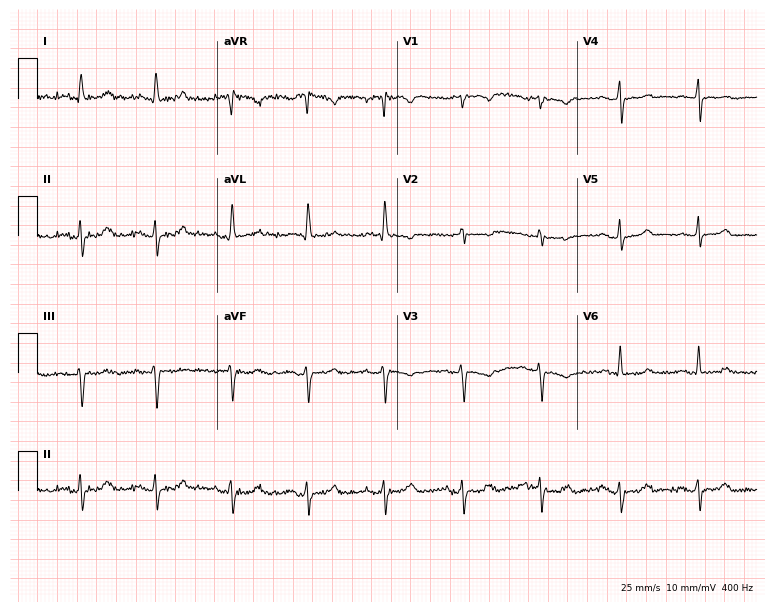
Resting 12-lead electrocardiogram (7.3-second recording at 400 Hz). Patient: a female, 58 years old. None of these six findings is recorded: first-degree AV block, right bundle branch block (RBBB), left bundle branch block (LBBB), sinus bradycardia, atrial fibrillation (AF), sinus tachycardia.